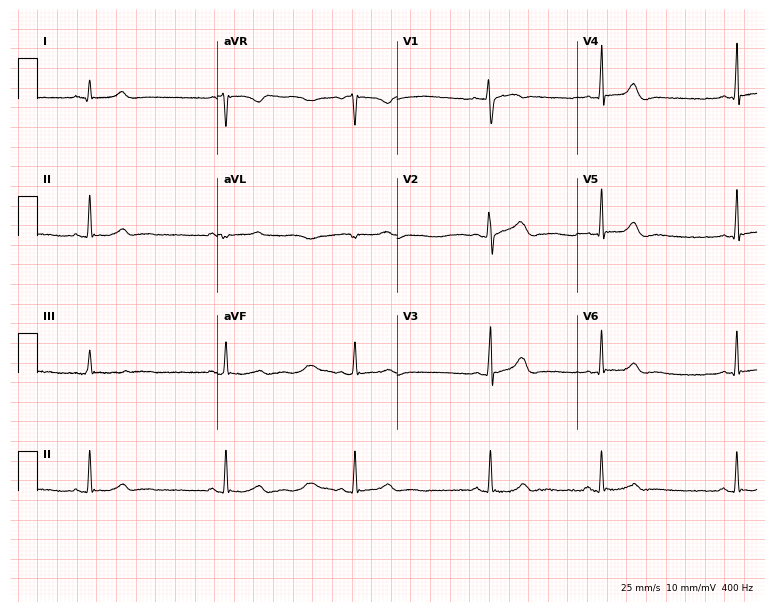
Electrocardiogram (7.3-second recording at 400 Hz), an 18-year-old woman. Interpretation includes sinus bradycardia (a sinus rate of 50 beats per minute or less).